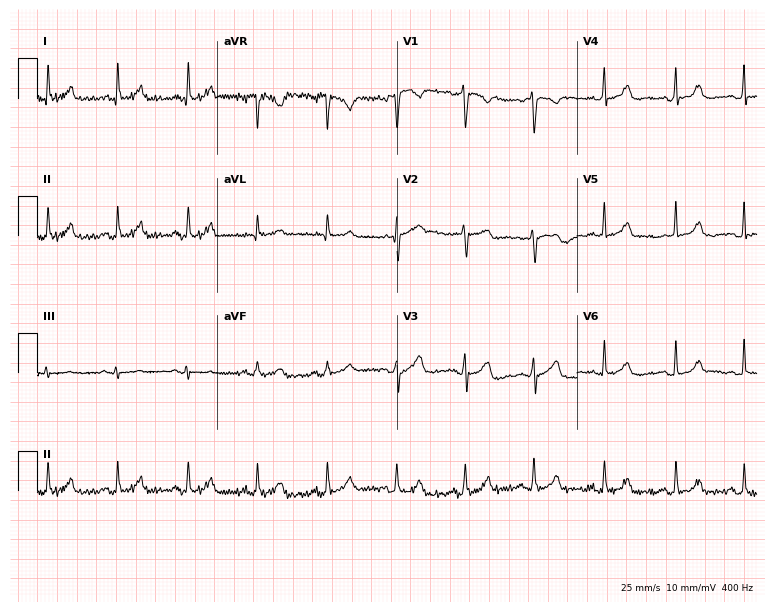
Electrocardiogram, a female, 36 years old. Overall reading on record: normal ECG.